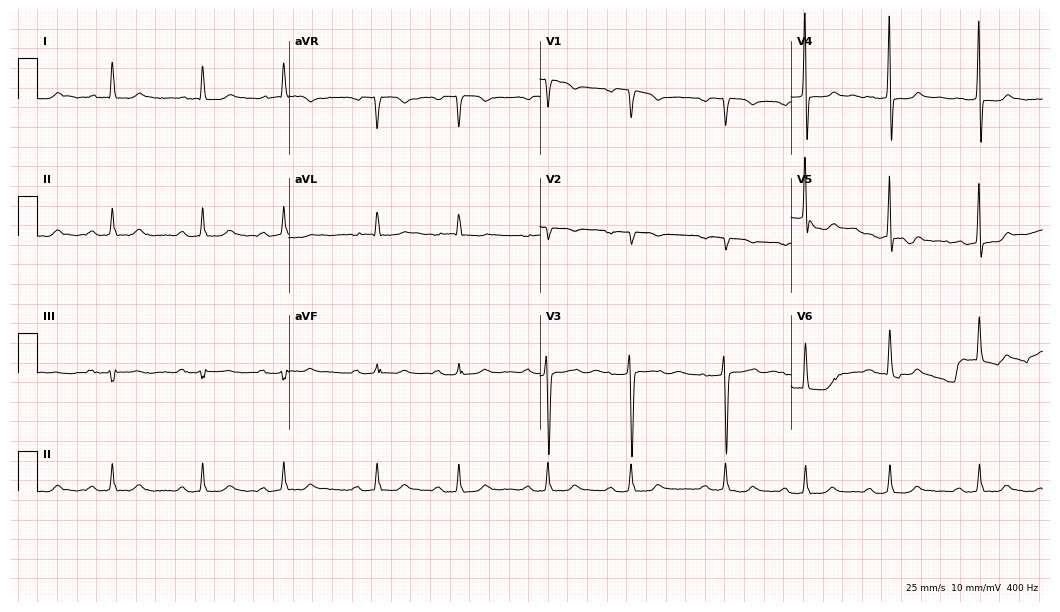
12-lead ECG from a female, 75 years old (10.2-second recording at 400 Hz). No first-degree AV block, right bundle branch block, left bundle branch block, sinus bradycardia, atrial fibrillation or sinus tachycardia recorded for this tracing.